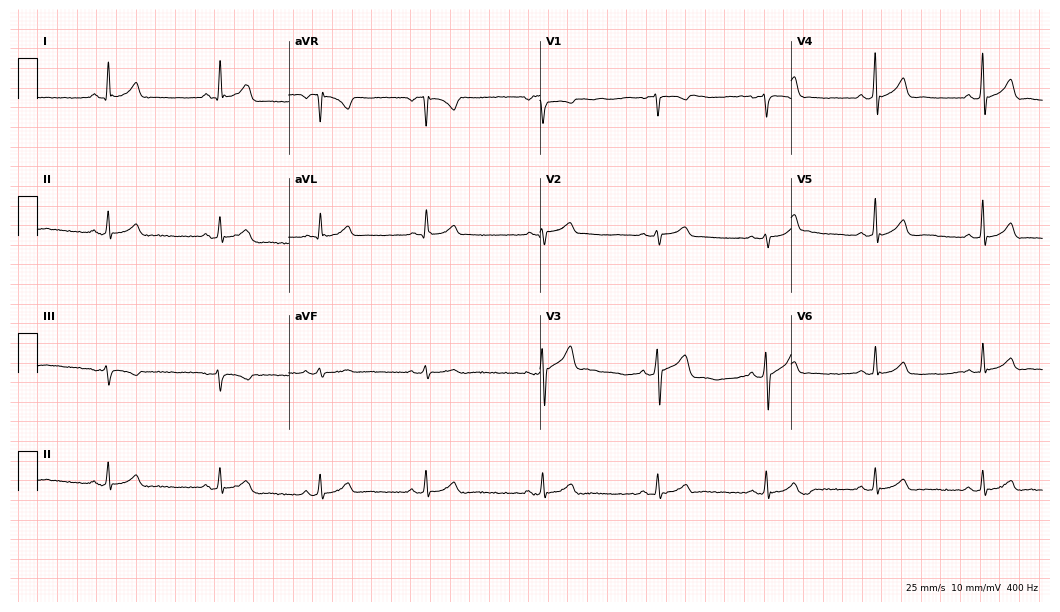
Standard 12-lead ECG recorded from a man, 38 years old. Read as a normal ECG.